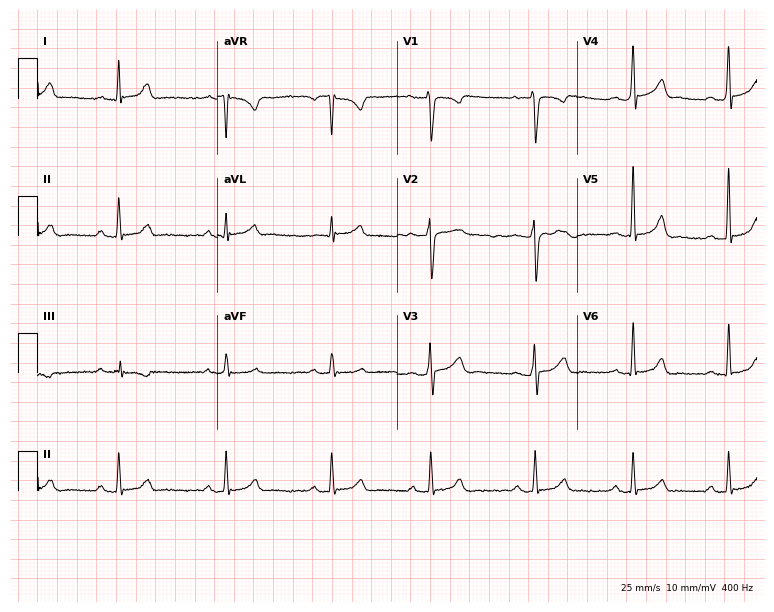
12-lead ECG from a male, 28 years old. No first-degree AV block, right bundle branch block (RBBB), left bundle branch block (LBBB), sinus bradycardia, atrial fibrillation (AF) or sinus tachycardia recorded for this tracing. Other findings, if any, are not listed.